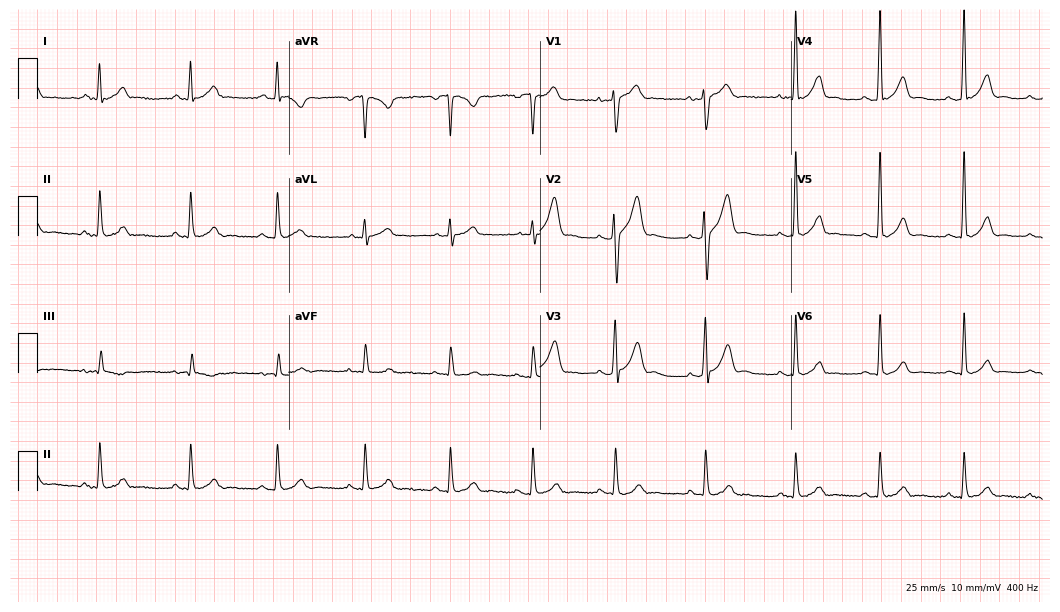
Electrocardiogram, a 36-year-old male patient. Overall reading on record: normal ECG.